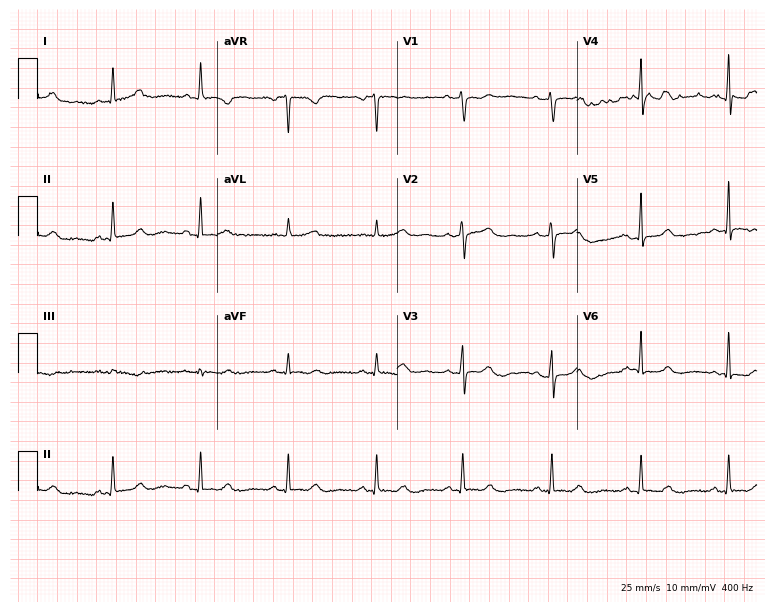
Standard 12-lead ECG recorded from a 59-year-old female. Read as a normal ECG.